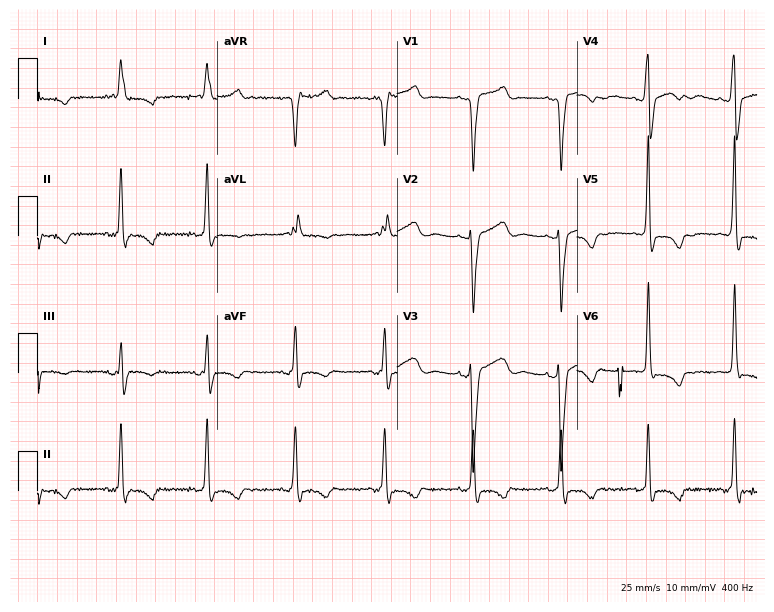
12-lead ECG from a 79-year-old woman (7.3-second recording at 400 Hz). No first-degree AV block, right bundle branch block (RBBB), left bundle branch block (LBBB), sinus bradycardia, atrial fibrillation (AF) or sinus tachycardia recorded for this tracing. Only these six findings were labelled.